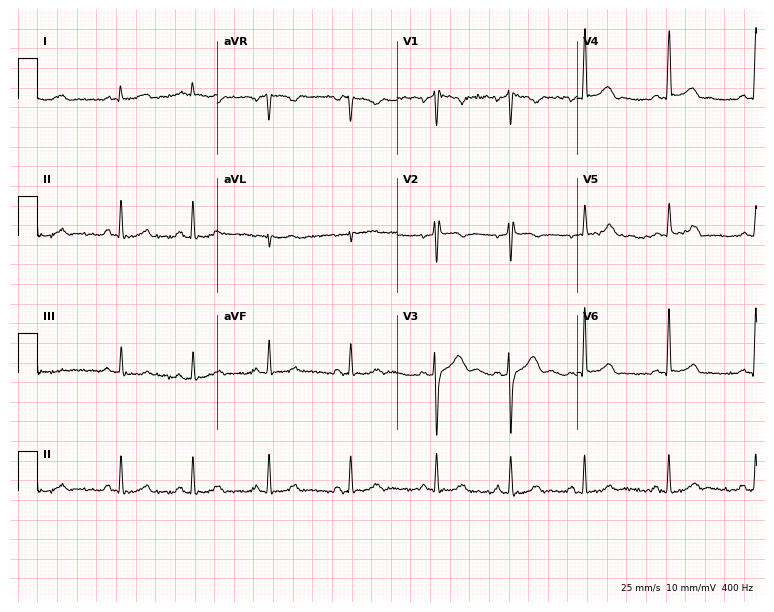
12-lead ECG from a 26-year-old woman. Labelled as a normal ECG.